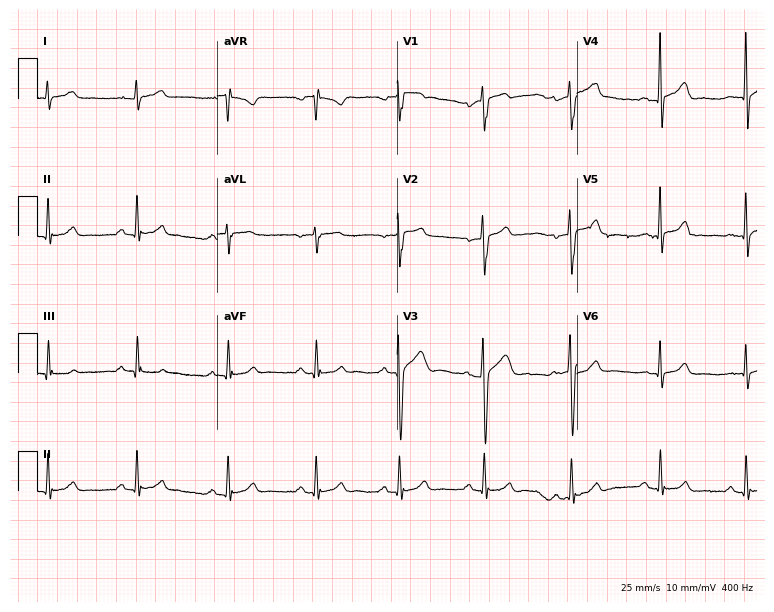
Resting 12-lead electrocardiogram (7.3-second recording at 400 Hz). Patient: a 21-year-old man. None of these six findings is recorded: first-degree AV block, right bundle branch block, left bundle branch block, sinus bradycardia, atrial fibrillation, sinus tachycardia.